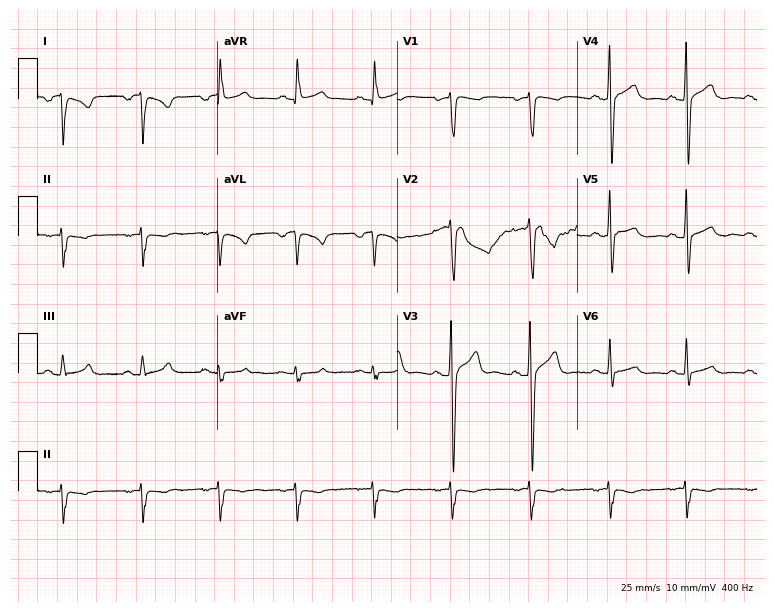
Standard 12-lead ECG recorded from a 39-year-old male patient. None of these six findings is recorded: first-degree AV block, right bundle branch block (RBBB), left bundle branch block (LBBB), sinus bradycardia, atrial fibrillation (AF), sinus tachycardia. Other findings, if any, are not listed.